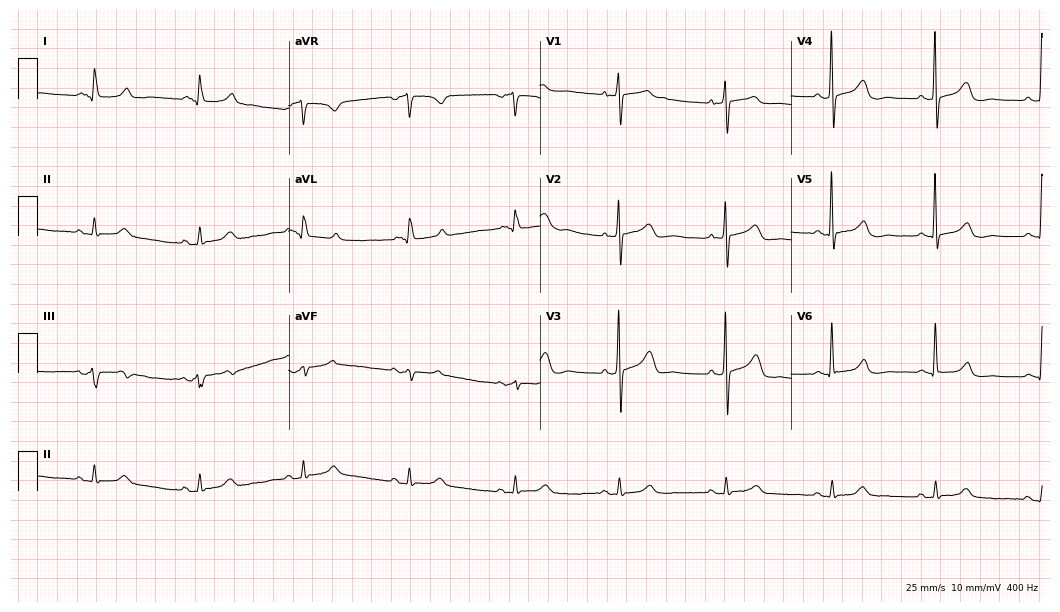
Standard 12-lead ECG recorded from a 71-year-old woman. Read as a normal ECG.